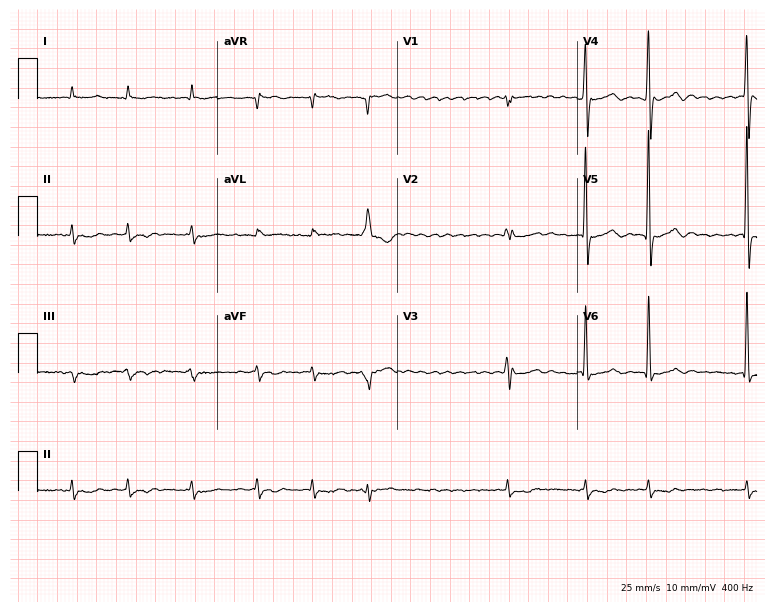
Electrocardiogram (7.3-second recording at 400 Hz), a 79-year-old male. Interpretation includes atrial fibrillation (AF).